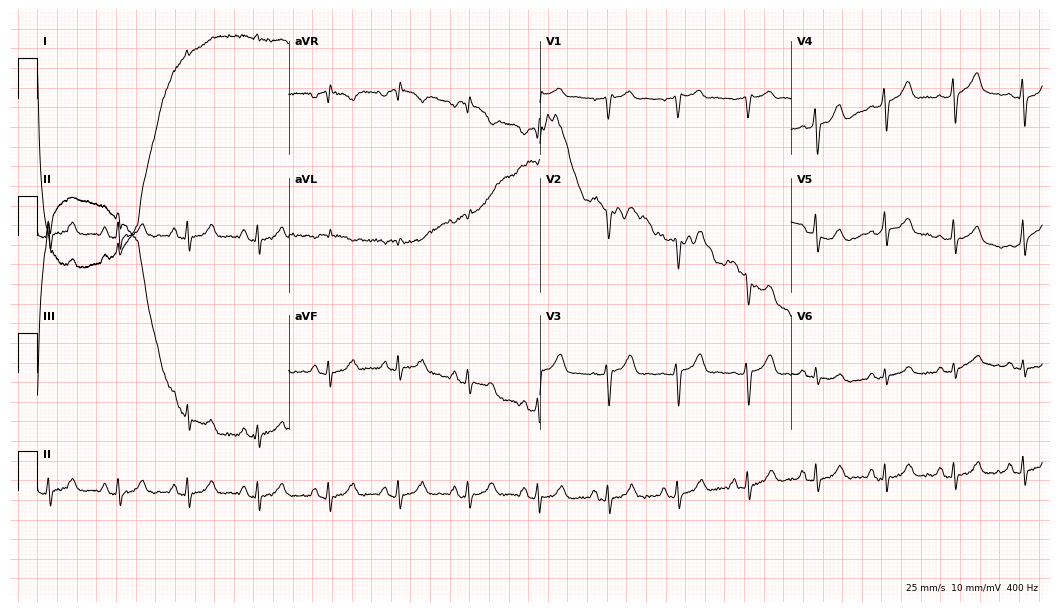
Resting 12-lead electrocardiogram (10.2-second recording at 400 Hz). Patient: a male, 82 years old. None of these six findings is recorded: first-degree AV block, right bundle branch block (RBBB), left bundle branch block (LBBB), sinus bradycardia, atrial fibrillation (AF), sinus tachycardia. Findings outside these six are not listed.